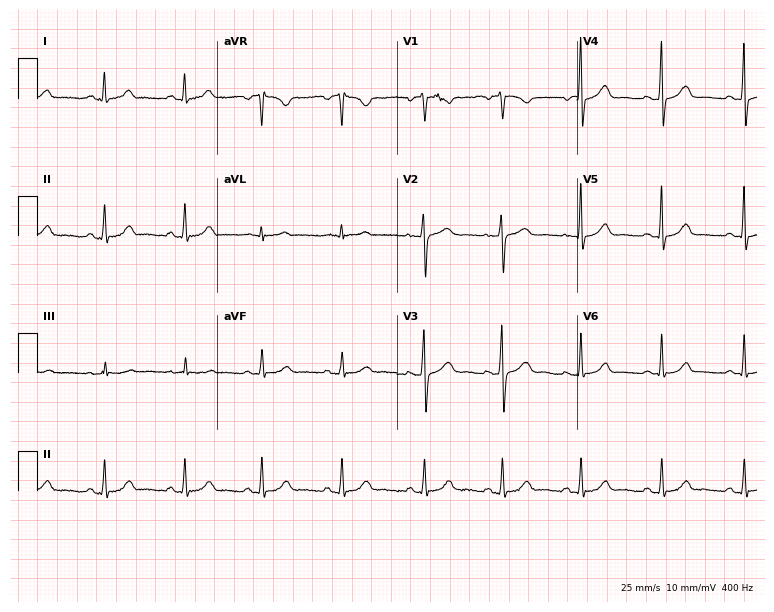
ECG (7.3-second recording at 400 Hz) — a female patient, 34 years old. Labelled as a normal ECG.